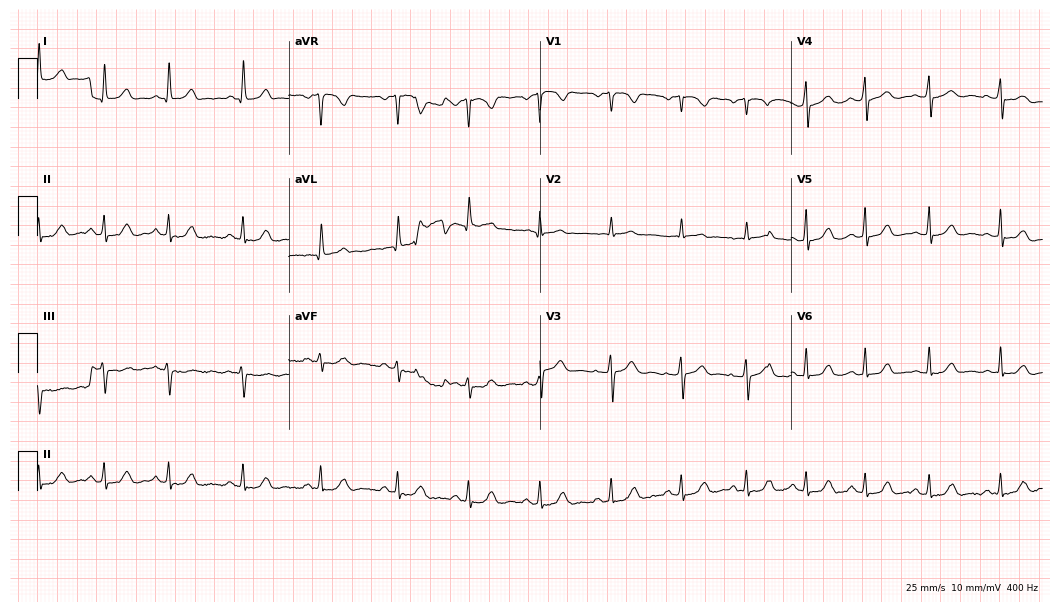
Resting 12-lead electrocardiogram (10.2-second recording at 400 Hz). Patient: a 30-year-old woman. None of these six findings is recorded: first-degree AV block, right bundle branch block, left bundle branch block, sinus bradycardia, atrial fibrillation, sinus tachycardia. Only these six findings were labelled.